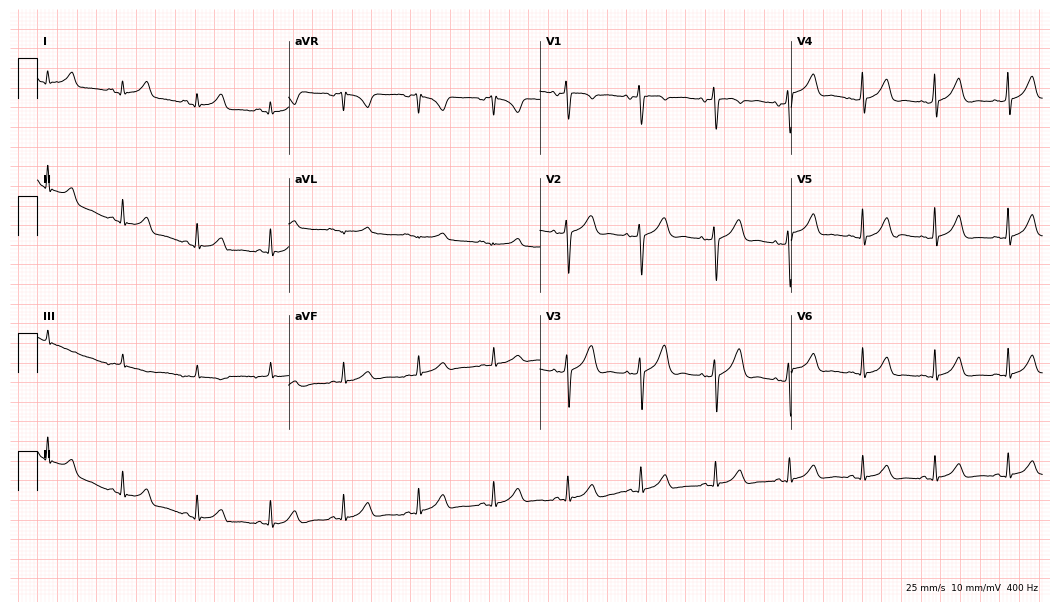
Standard 12-lead ECG recorded from a 40-year-old female (10.2-second recording at 400 Hz). Read as a normal ECG.